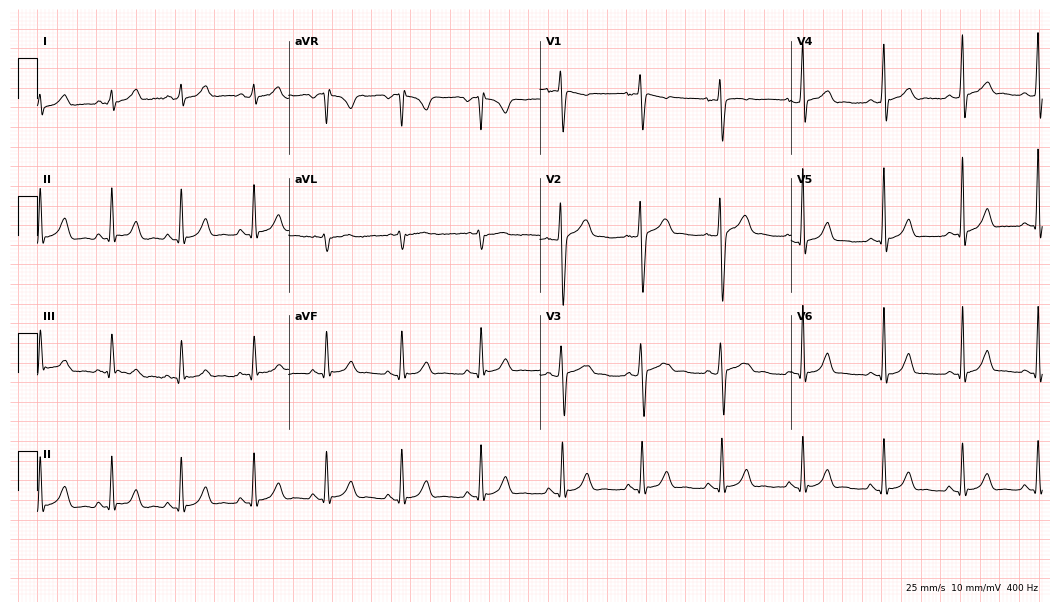
12-lead ECG from a 19-year-old male. Recorded interpretation: within normal limits.